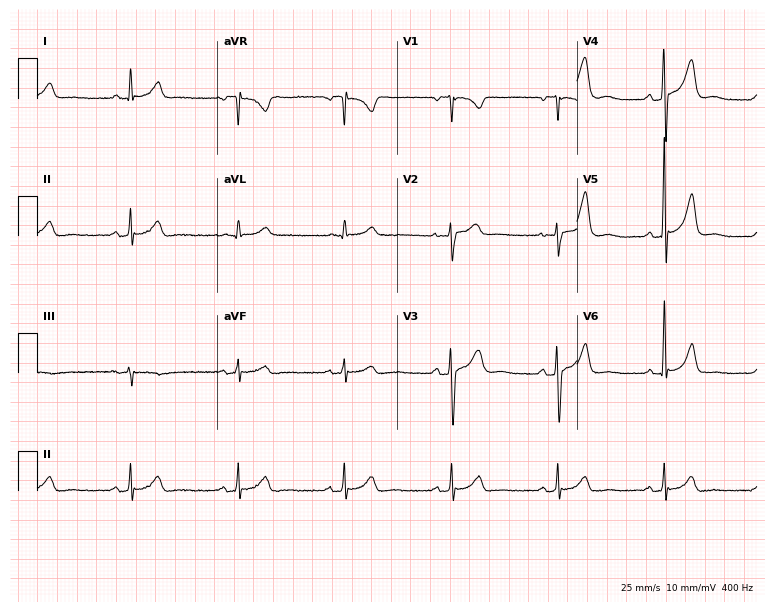
Standard 12-lead ECG recorded from a man, 62 years old. Read as a normal ECG.